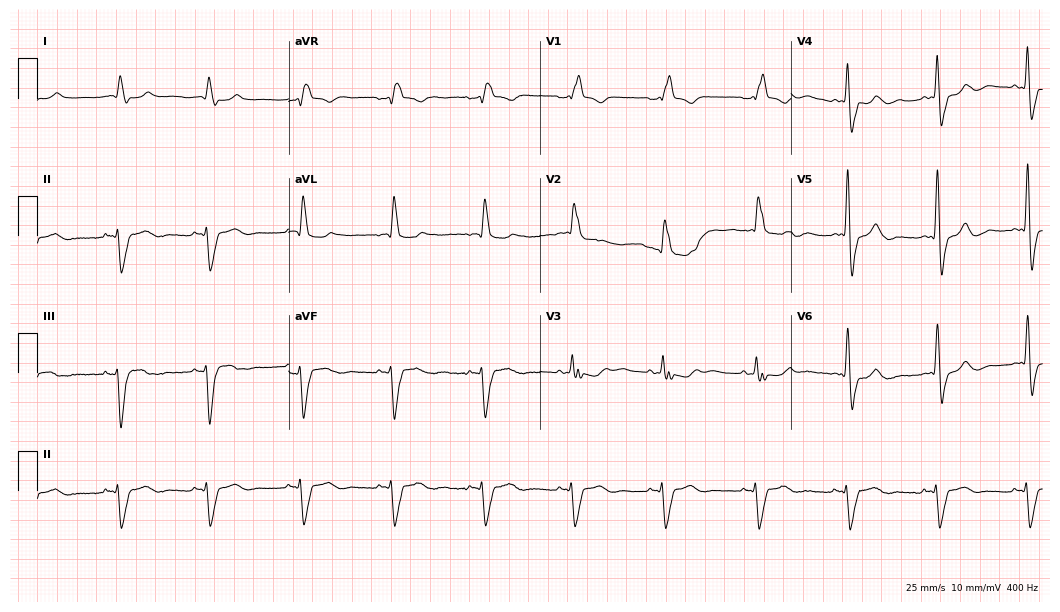
Electrocardiogram (10.2-second recording at 400 Hz), a 77-year-old man. Interpretation includes right bundle branch block.